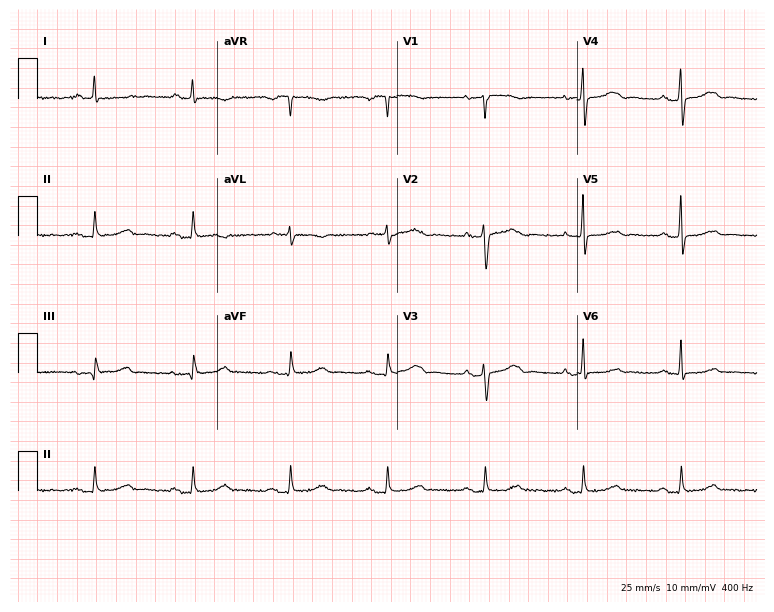
12-lead ECG from a male, 75 years old. Labelled as a normal ECG.